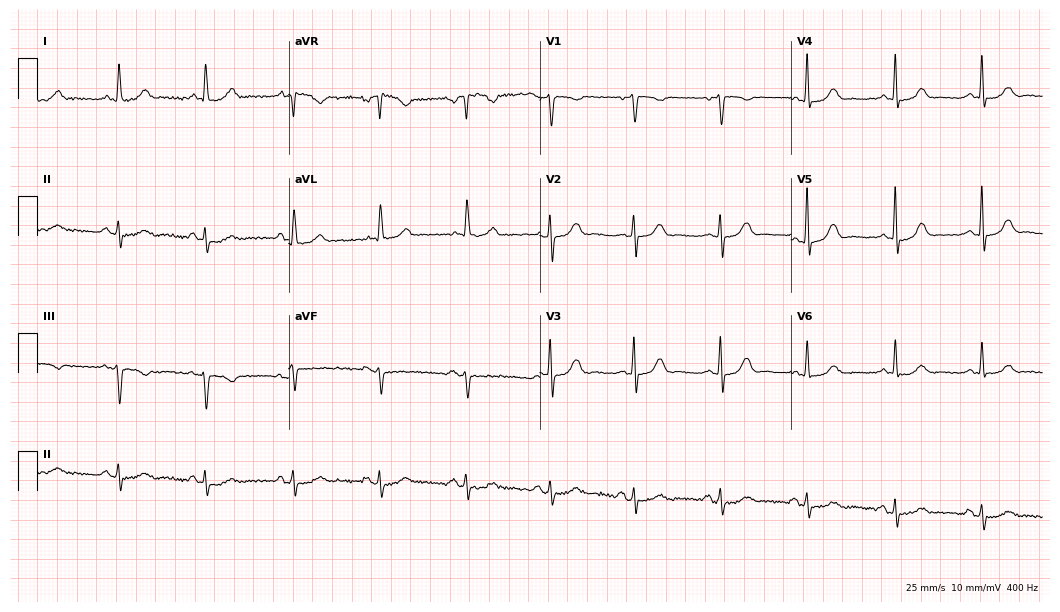
12-lead ECG from a female patient, 71 years old (10.2-second recording at 400 Hz). No first-degree AV block, right bundle branch block, left bundle branch block, sinus bradycardia, atrial fibrillation or sinus tachycardia recorded for this tracing. Findings outside these six are not listed.